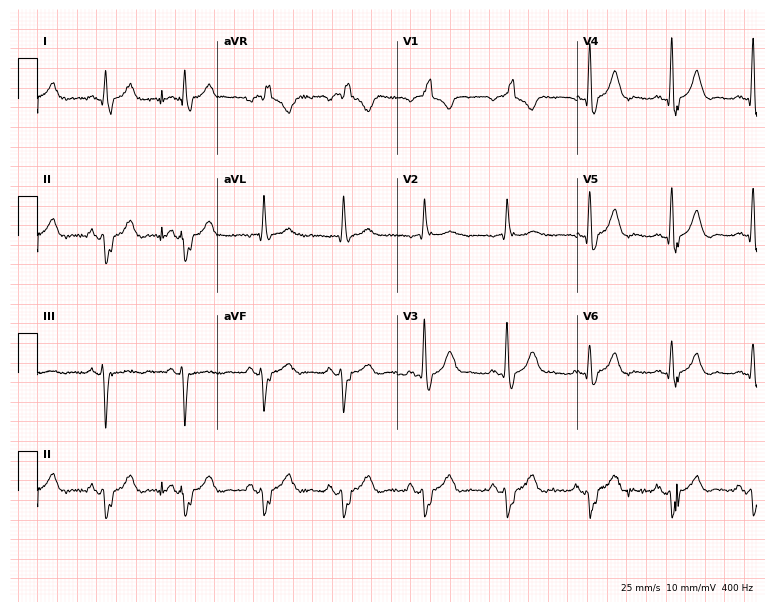
Standard 12-lead ECG recorded from a male patient, 72 years old. The tracing shows right bundle branch block.